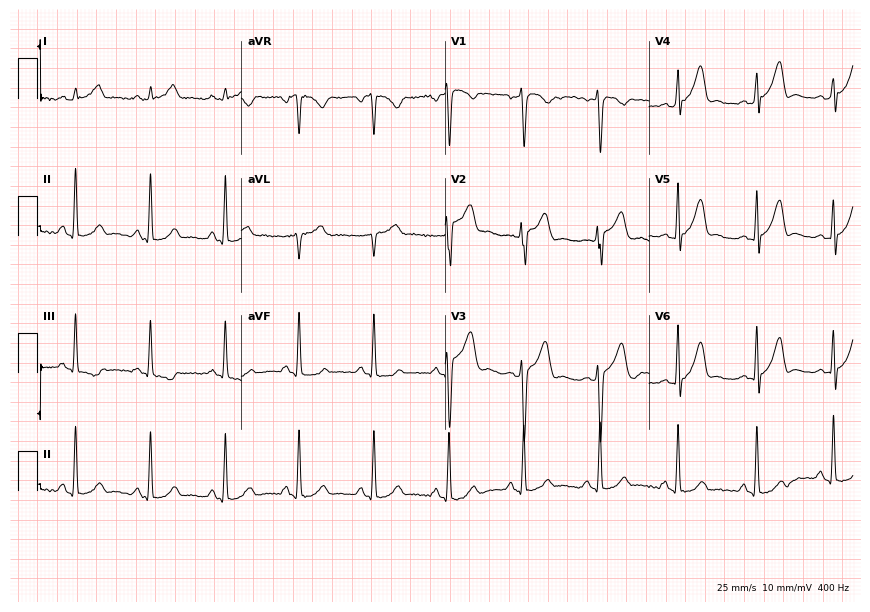
ECG (8.3-second recording at 400 Hz) — a man, 23 years old. Labelled as a normal ECG.